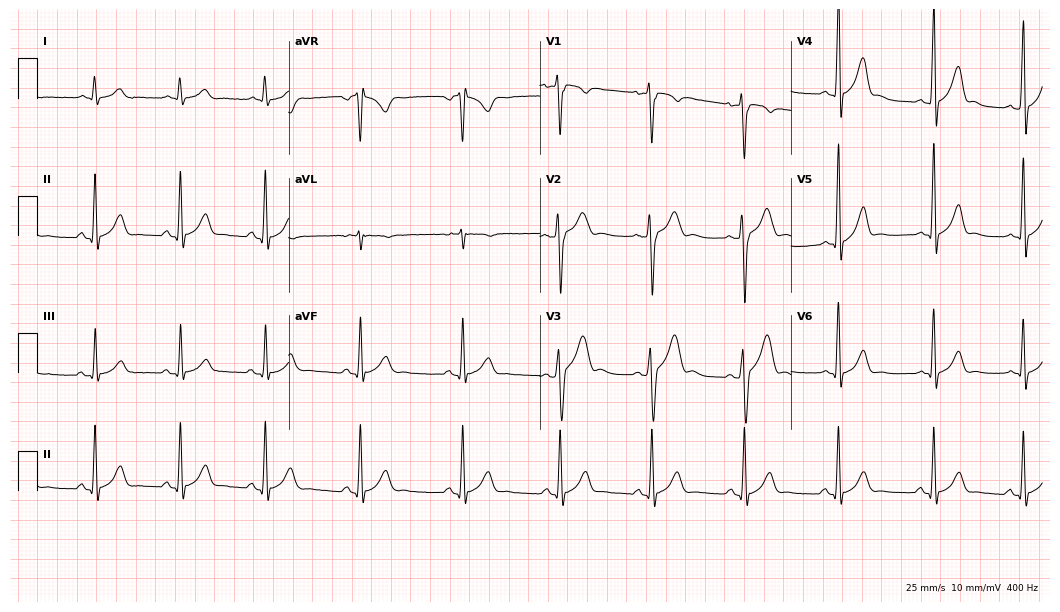
12-lead ECG (10.2-second recording at 400 Hz) from a 28-year-old male. Labelled as a normal ECG.